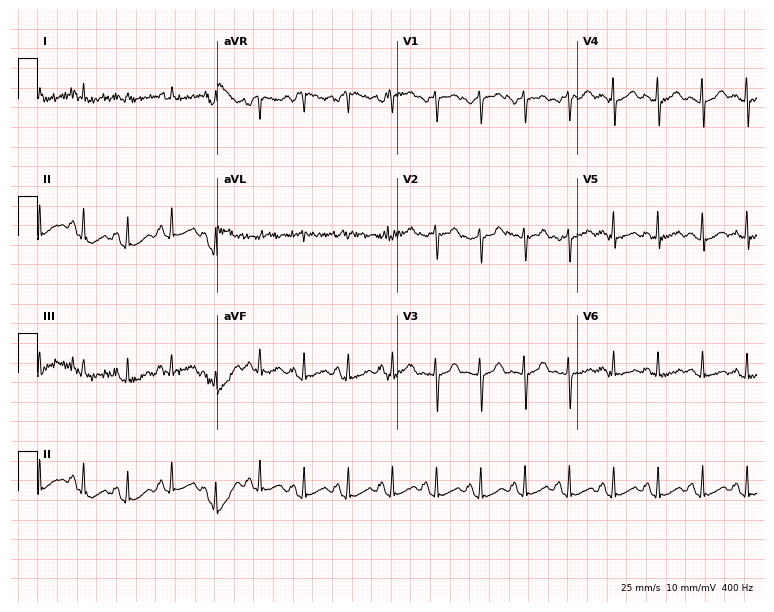
ECG (7.3-second recording at 400 Hz) — a female, 42 years old. Findings include sinus tachycardia (a sinus rate of 100 beats per minute or more).